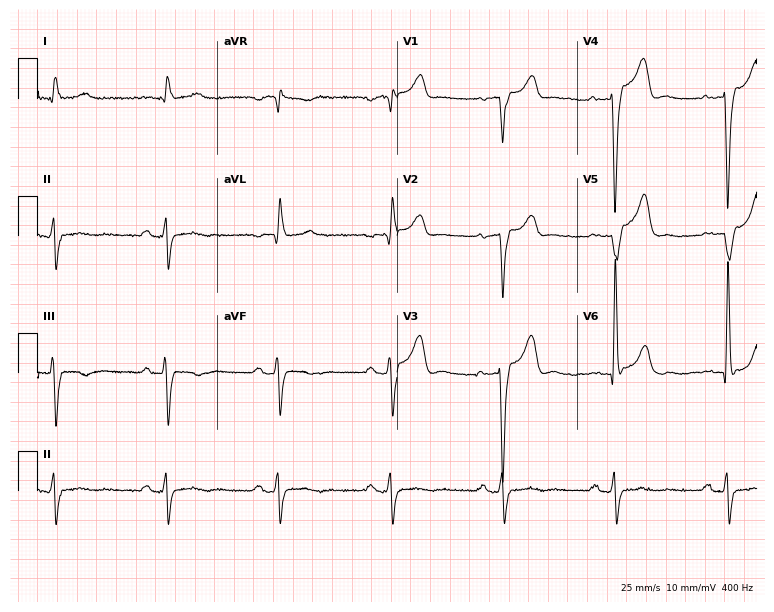
Resting 12-lead electrocardiogram (7.3-second recording at 400 Hz). Patient: a male, 73 years old. None of these six findings is recorded: first-degree AV block, right bundle branch block, left bundle branch block, sinus bradycardia, atrial fibrillation, sinus tachycardia.